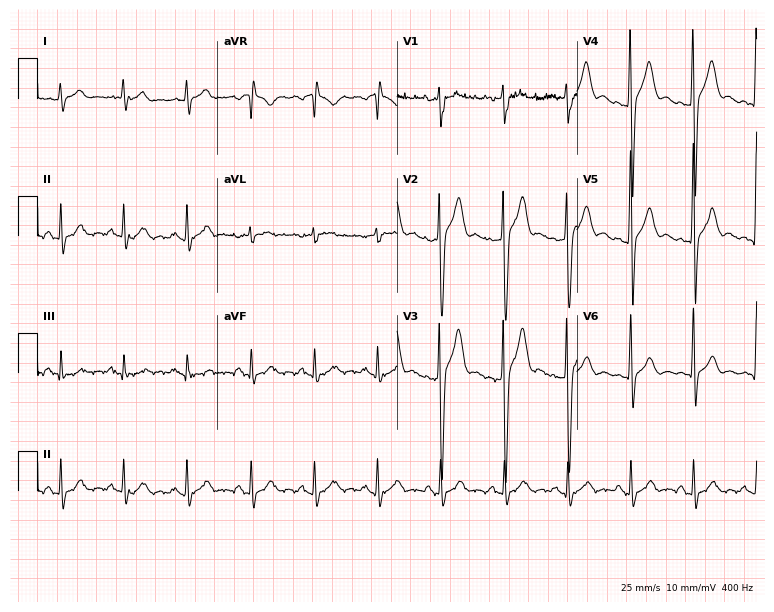
12-lead ECG from a 20-year-old man. No first-degree AV block, right bundle branch block (RBBB), left bundle branch block (LBBB), sinus bradycardia, atrial fibrillation (AF) or sinus tachycardia recorded for this tracing.